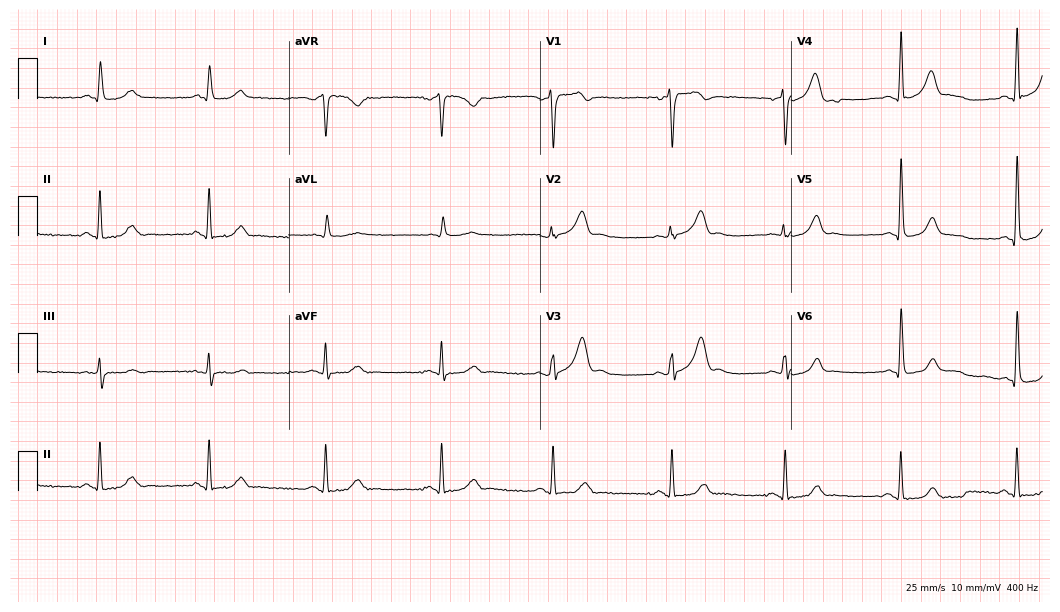
ECG — a man, 59 years old. Labelled as a normal ECG.